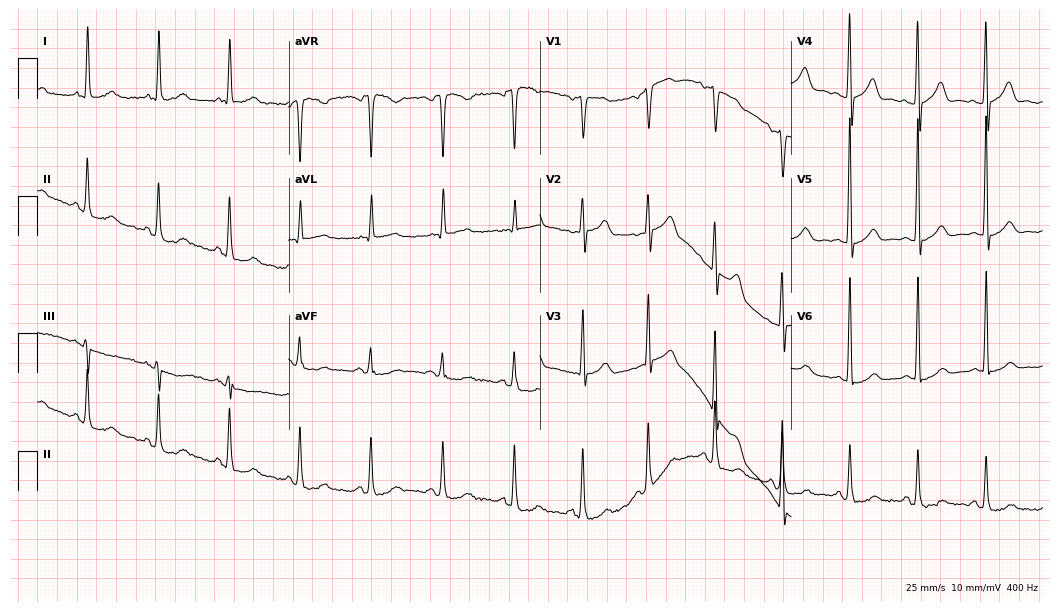
Electrocardiogram (10.2-second recording at 400 Hz), a 61-year-old female. Of the six screened findings (first-degree AV block, right bundle branch block, left bundle branch block, sinus bradycardia, atrial fibrillation, sinus tachycardia), none is recorded.